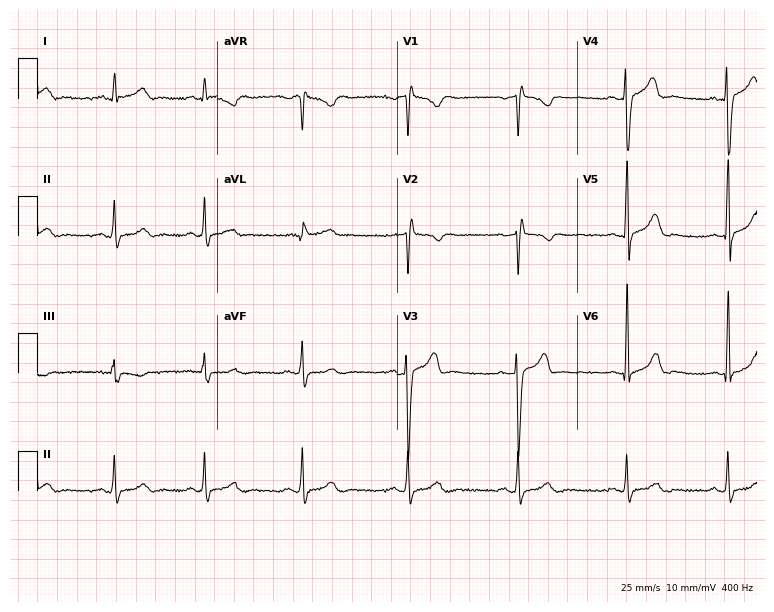
Standard 12-lead ECG recorded from a man, 32 years old. Read as a normal ECG.